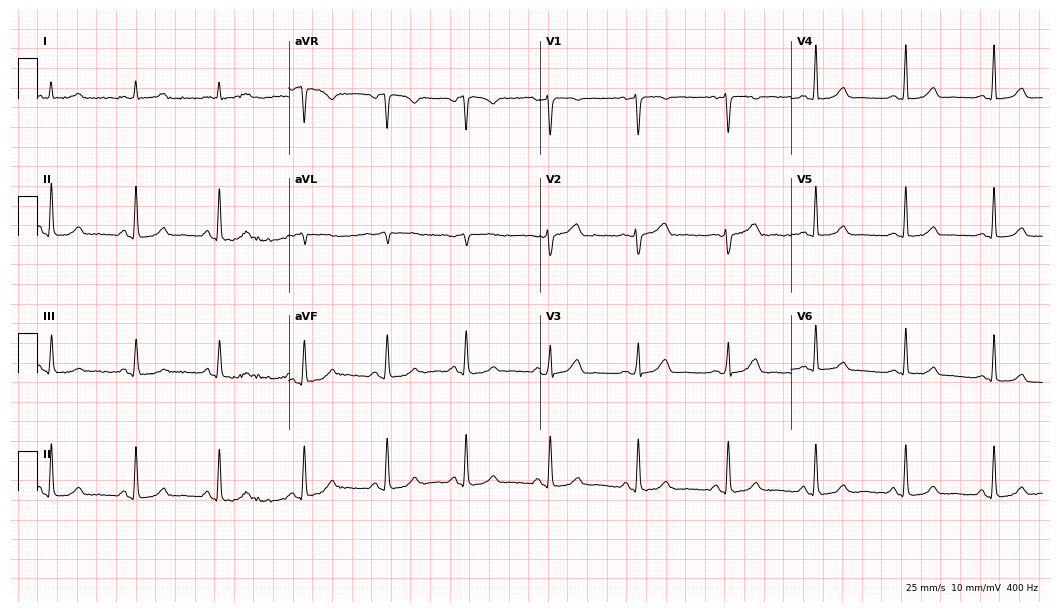
Resting 12-lead electrocardiogram. Patient: a woman, 50 years old. Read as a normal ECG.